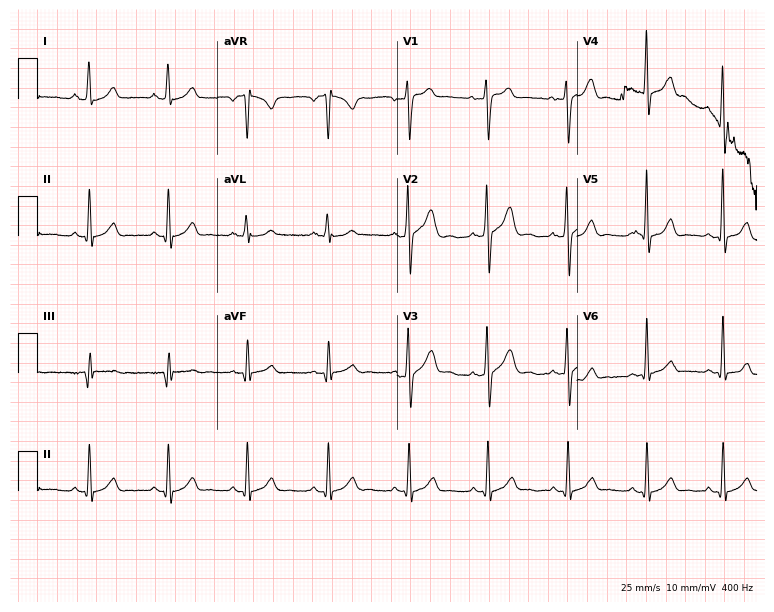
Electrocardiogram (7.3-second recording at 400 Hz), a 21-year-old man. Overall reading on record: normal ECG.